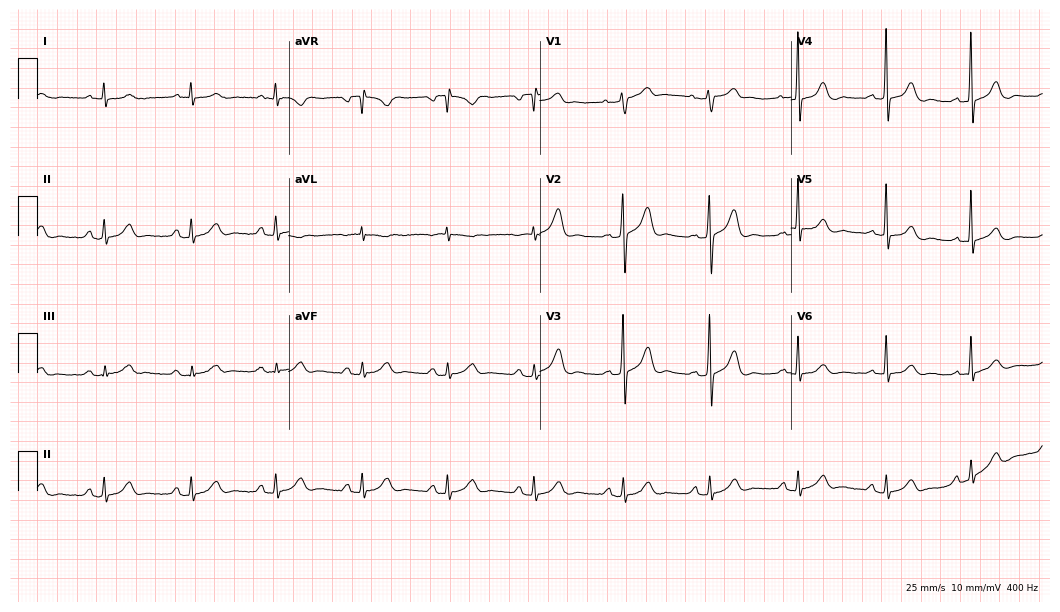
12-lead ECG (10.2-second recording at 400 Hz) from a male, 66 years old. Labelled as a normal ECG.